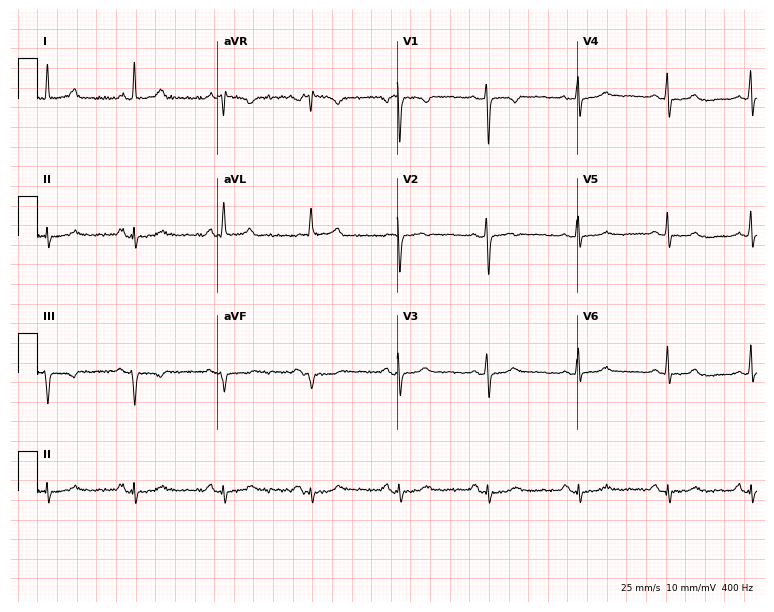
Standard 12-lead ECG recorded from a 58-year-old female patient (7.3-second recording at 400 Hz). None of these six findings is recorded: first-degree AV block, right bundle branch block, left bundle branch block, sinus bradycardia, atrial fibrillation, sinus tachycardia.